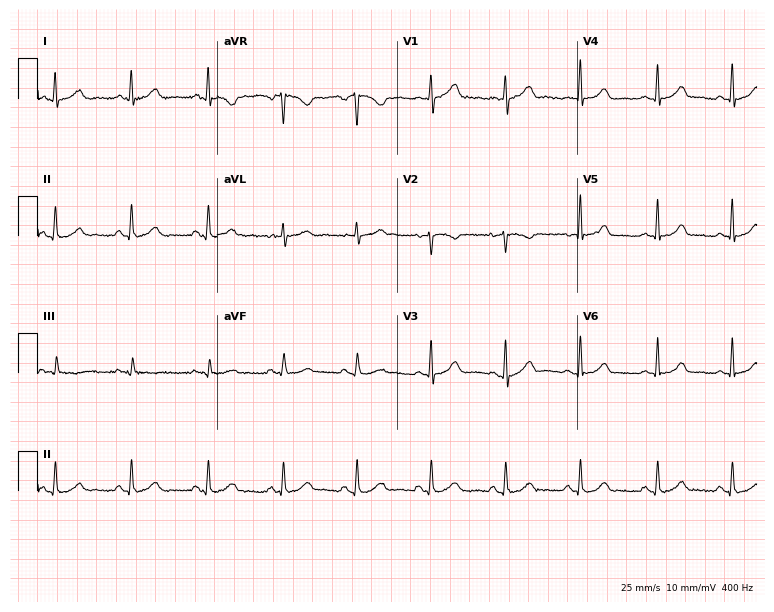
12-lead ECG from a female patient, 47 years old. Labelled as a normal ECG.